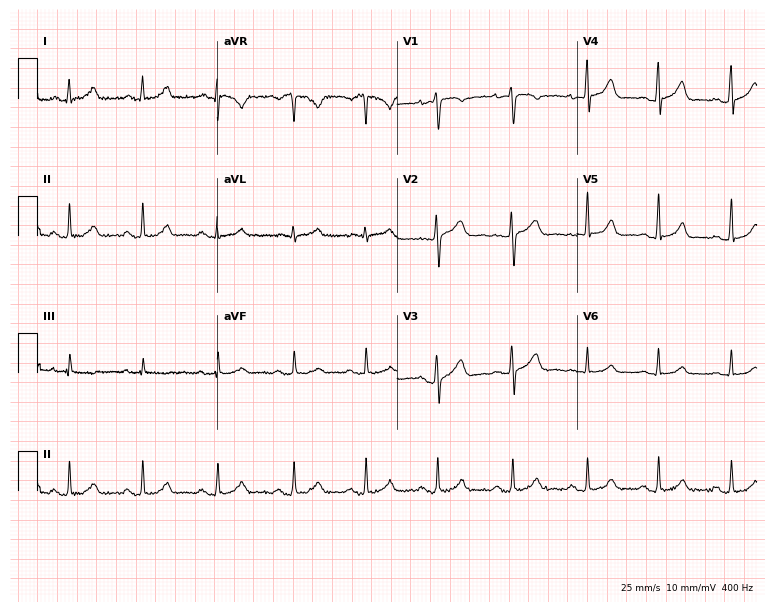
ECG — a 24-year-old female. Labelled as a normal ECG.